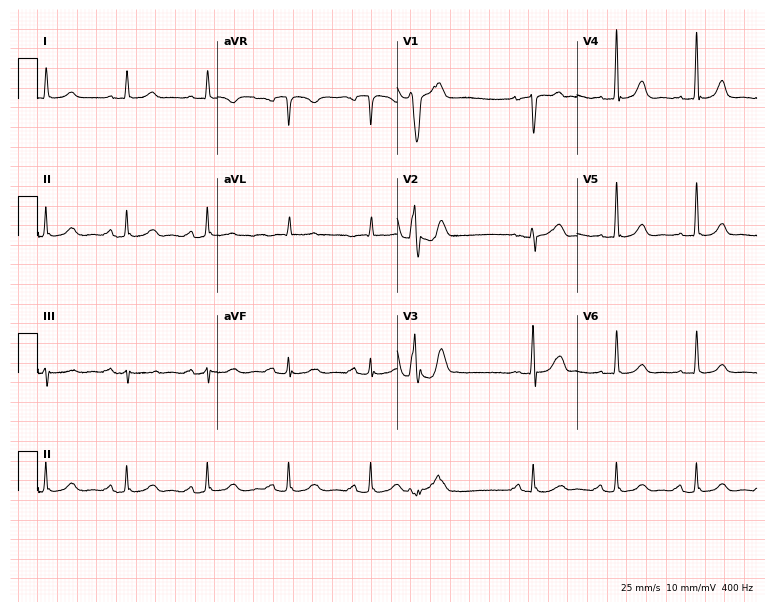
Electrocardiogram (7.3-second recording at 400 Hz), a male, 79 years old. Of the six screened findings (first-degree AV block, right bundle branch block (RBBB), left bundle branch block (LBBB), sinus bradycardia, atrial fibrillation (AF), sinus tachycardia), none is recorded. Findings outside these six are not listed.